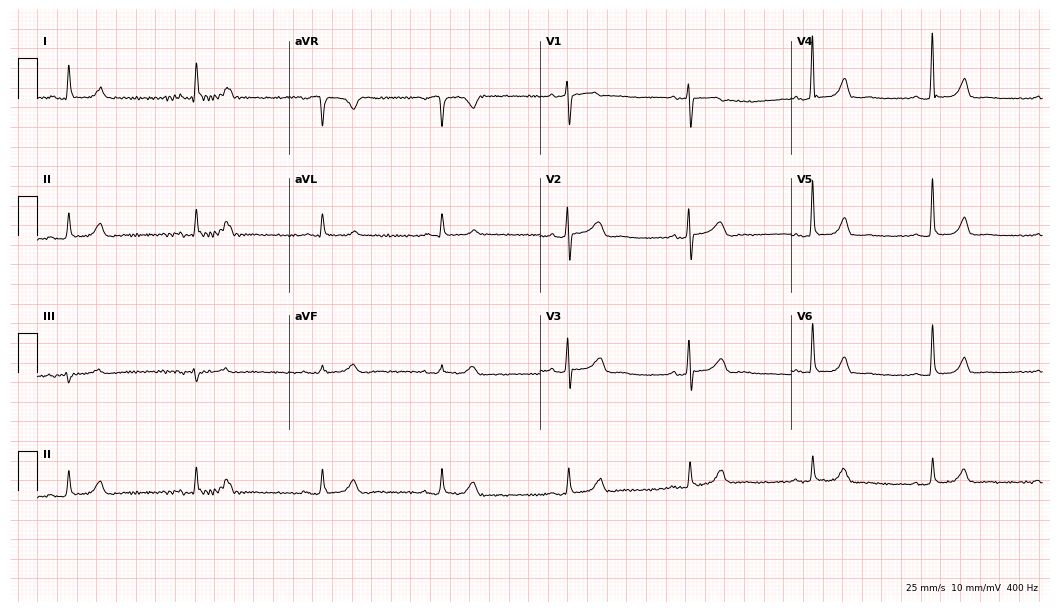
Standard 12-lead ECG recorded from a 67-year-old female (10.2-second recording at 400 Hz). The tracing shows sinus bradycardia (a sinus rate of 50 beats per minute or less).